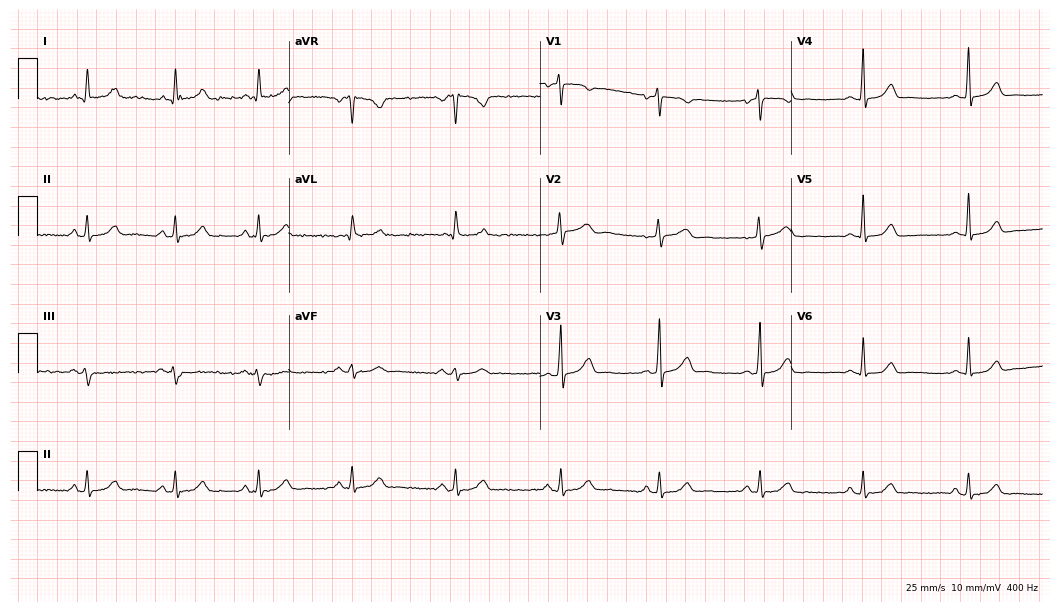
12-lead ECG from a 40-year-old female patient. Recorded interpretation: within normal limits.